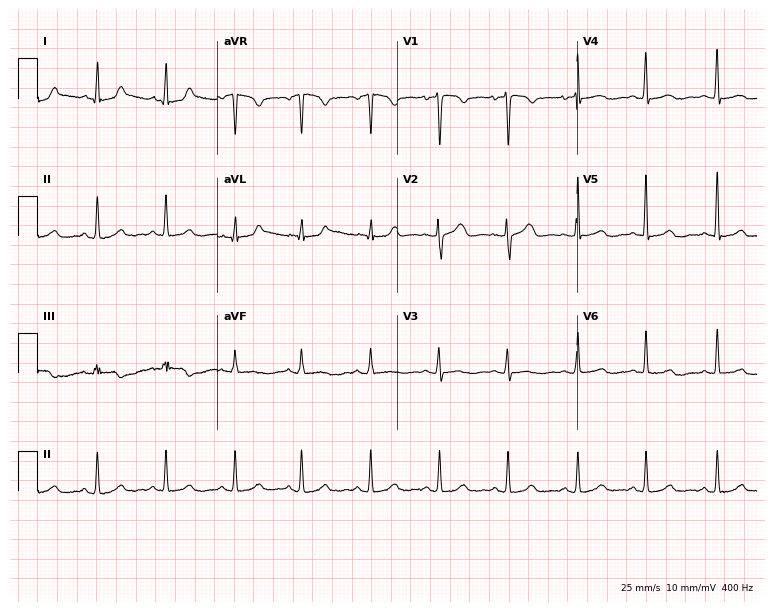
Standard 12-lead ECG recorded from a 43-year-old female patient (7.3-second recording at 400 Hz). Read as a normal ECG.